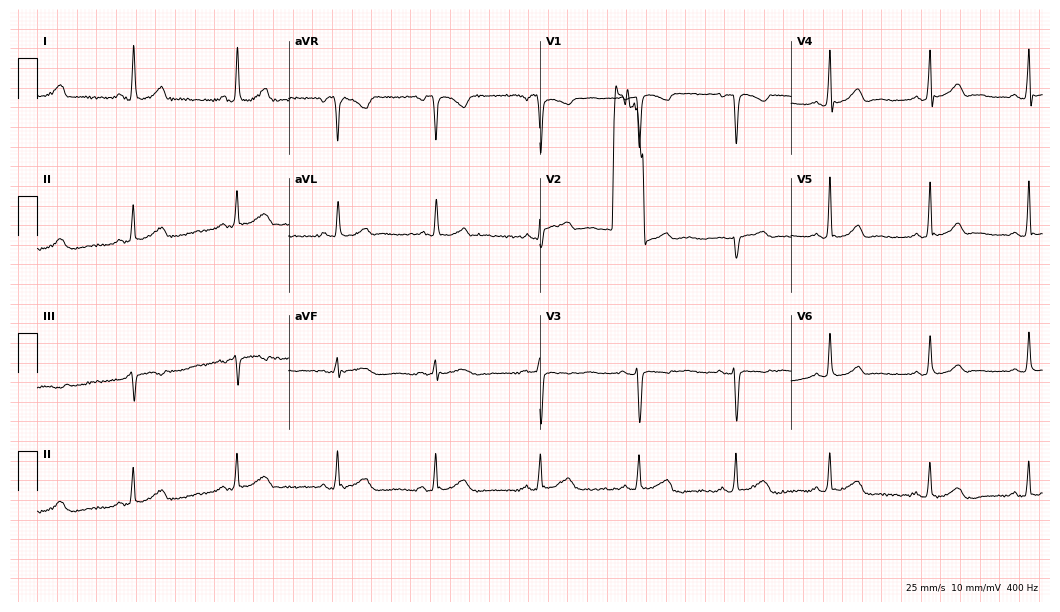
Standard 12-lead ECG recorded from a 62-year-old female patient (10.2-second recording at 400 Hz). Read as a normal ECG.